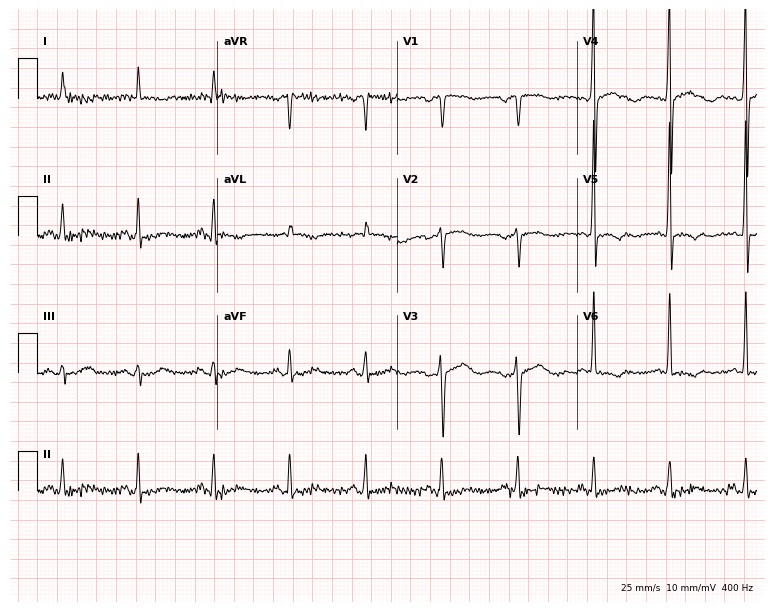
12-lead ECG (7.3-second recording at 400 Hz) from a female patient, 72 years old. Screened for six findings — first-degree AV block, right bundle branch block, left bundle branch block, sinus bradycardia, atrial fibrillation, sinus tachycardia — none is recorded. Findings outside these six are not listed.